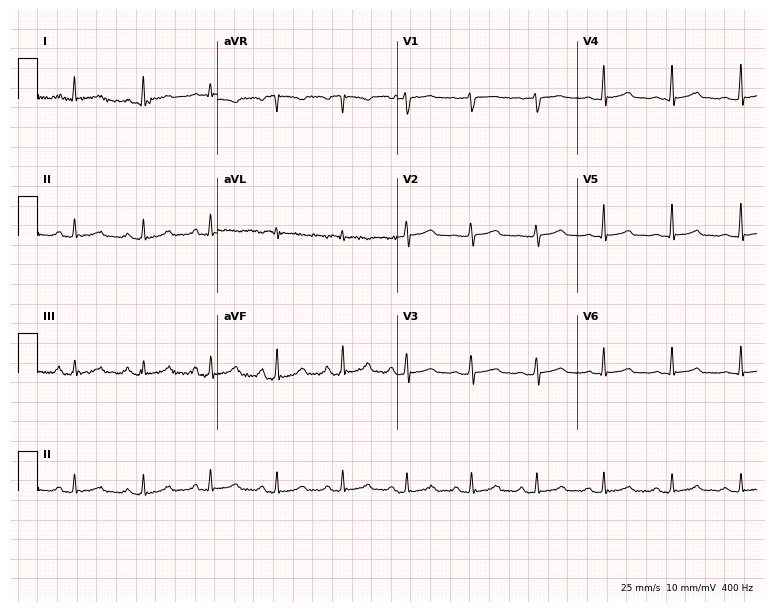
Standard 12-lead ECG recorded from a 36-year-old man (7.3-second recording at 400 Hz). None of these six findings is recorded: first-degree AV block, right bundle branch block (RBBB), left bundle branch block (LBBB), sinus bradycardia, atrial fibrillation (AF), sinus tachycardia. Findings outside these six are not listed.